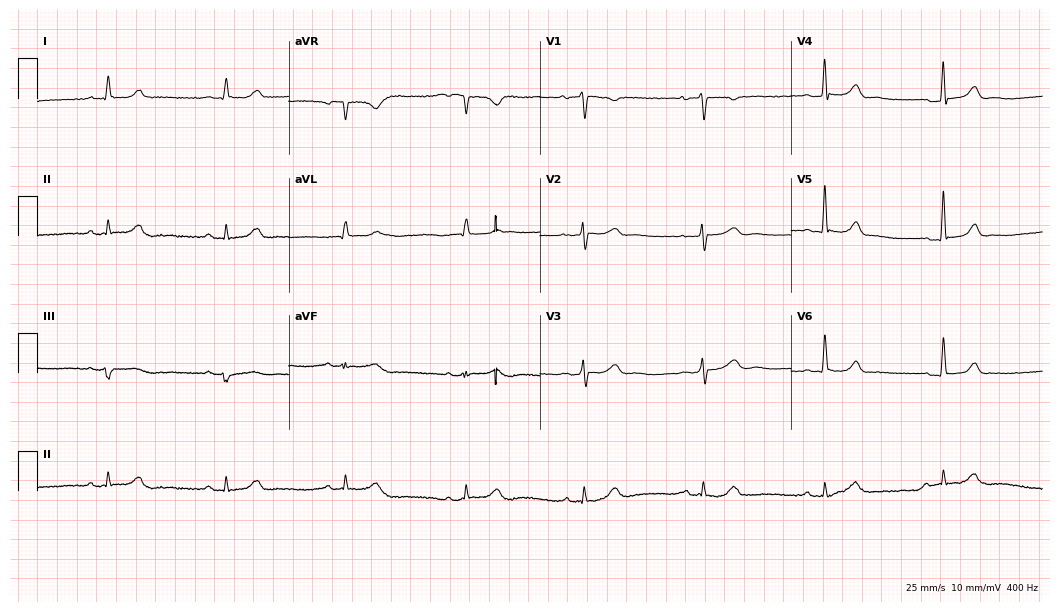
Standard 12-lead ECG recorded from a 54-year-old female. None of these six findings is recorded: first-degree AV block, right bundle branch block, left bundle branch block, sinus bradycardia, atrial fibrillation, sinus tachycardia.